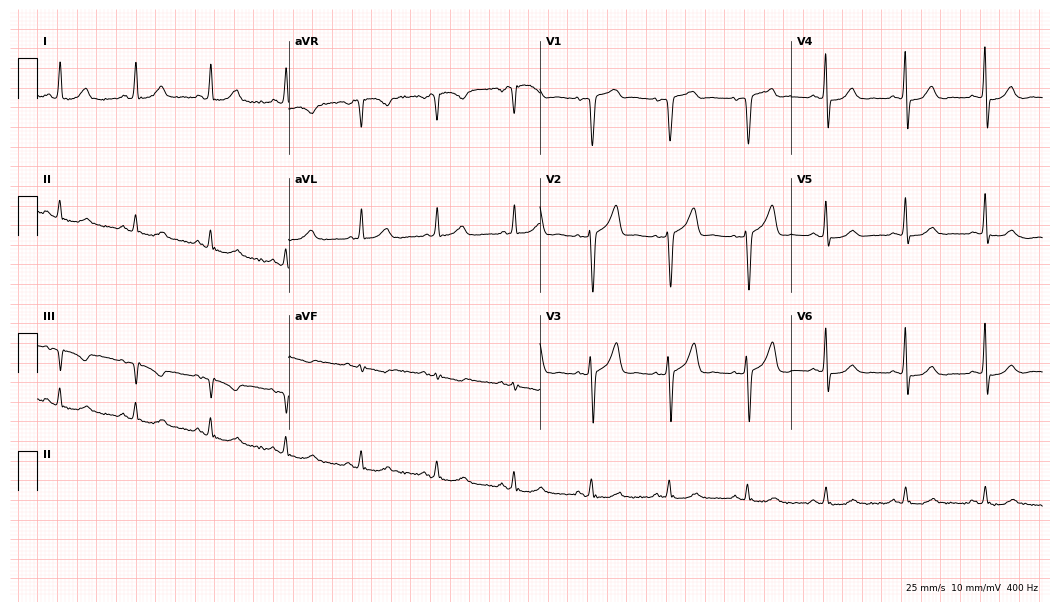
Electrocardiogram, a male patient, 67 years old. Overall reading on record: normal ECG.